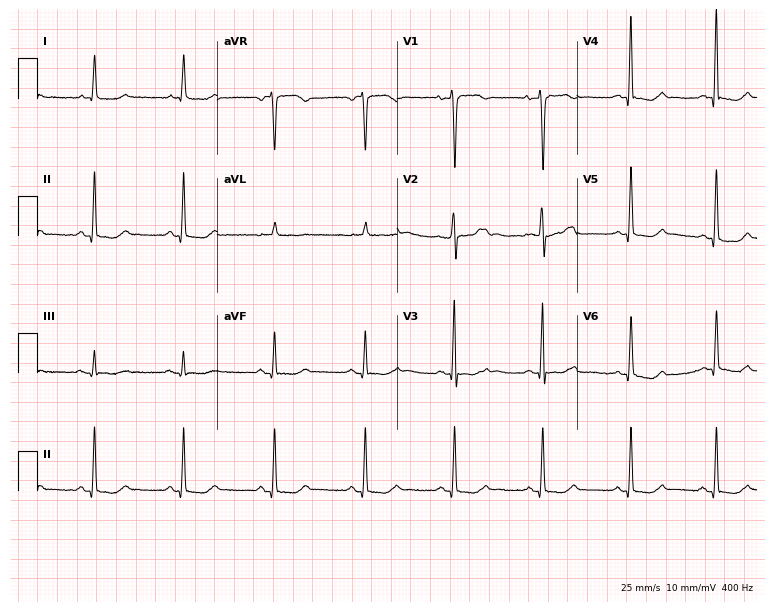
Electrocardiogram, a 71-year-old female patient. Of the six screened findings (first-degree AV block, right bundle branch block, left bundle branch block, sinus bradycardia, atrial fibrillation, sinus tachycardia), none is recorded.